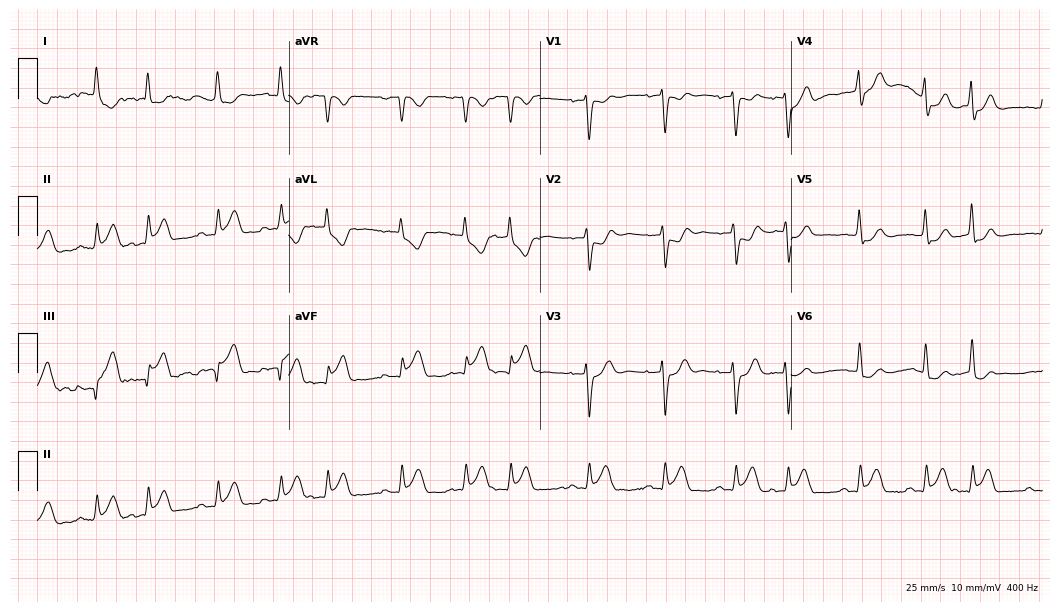
12-lead ECG (10.2-second recording at 400 Hz) from a woman, 85 years old. Screened for six findings — first-degree AV block, right bundle branch block, left bundle branch block, sinus bradycardia, atrial fibrillation, sinus tachycardia — none is recorded. Findings outside these six are not listed.